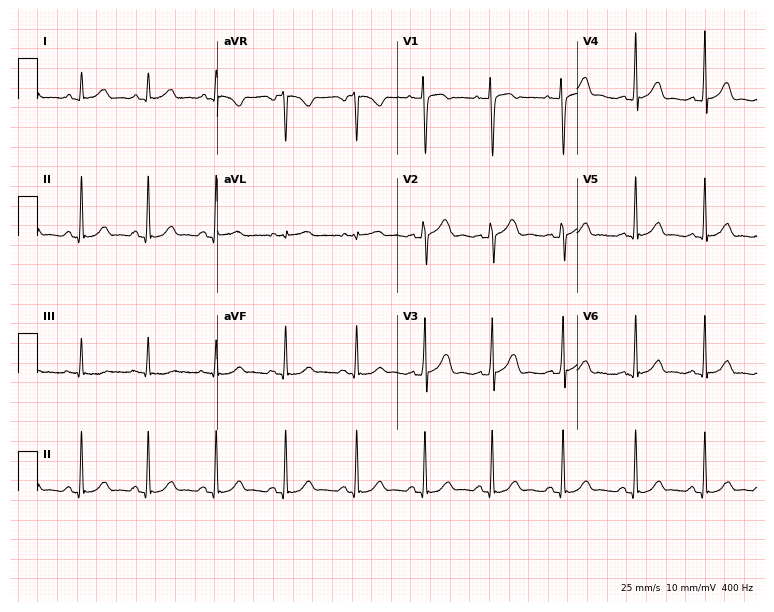
ECG (7.3-second recording at 400 Hz) — a 19-year-old male patient. Screened for six findings — first-degree AV block, right bundle branch block, left bundle branch block, sinus bradycardia, atrial fibrillation, sinus tachycardia — none is recorded.